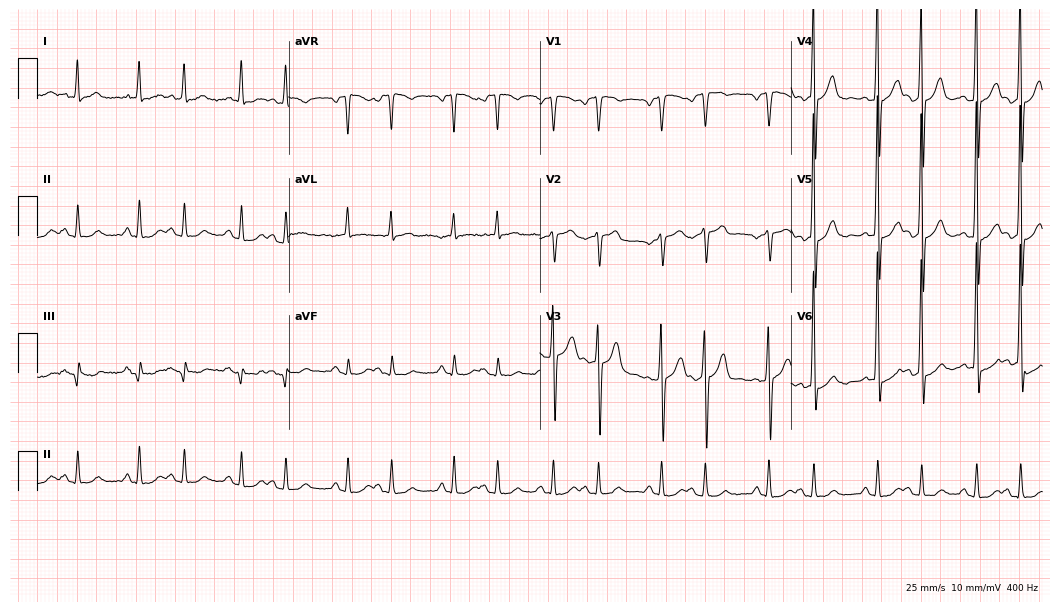
12-lead ECG from a man, 76 years old. Screened for six findings — first-degree AV block, right bundle branch block, left bundle branch block, sinus bradycardia, atrial fibrillation, sinus tachycardia — none is recorded. Findings outside these six are not listed.